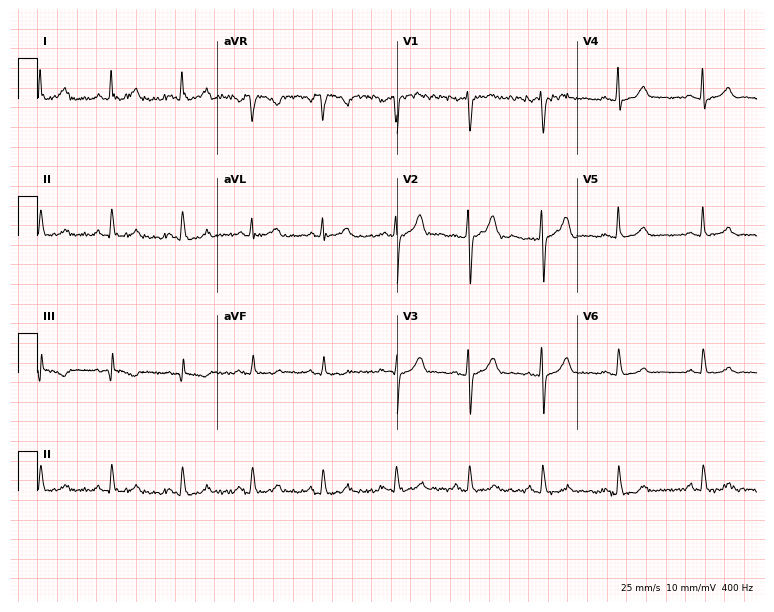
ECG — a 44-year-old woman. Screened for six findings — first-degree AV block, right bundle branch block, left bundle branch block, sinus bradycardia, atrial fibrillation, sinus tachycardia — none is recorded.